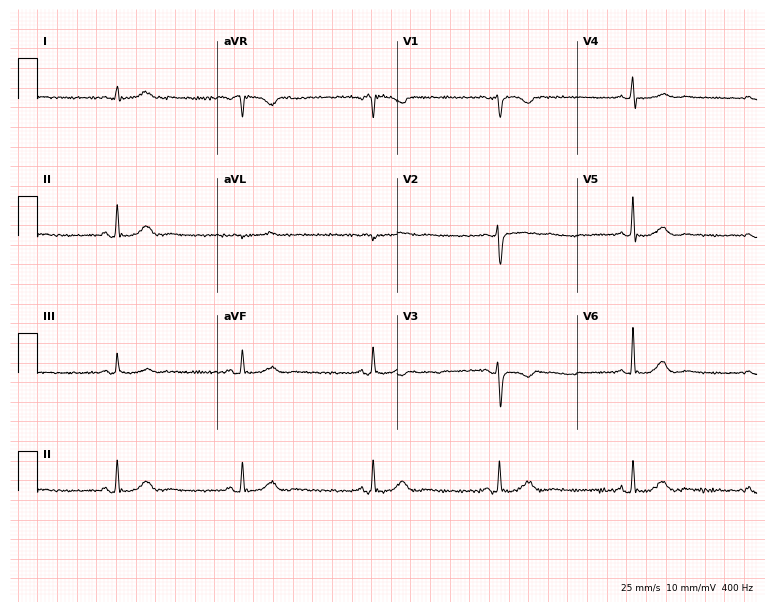
12-lead ECG from a 57-year-old female patient. Shows sinus bradycardia (a sinus rate of 50 beats per minute or less).